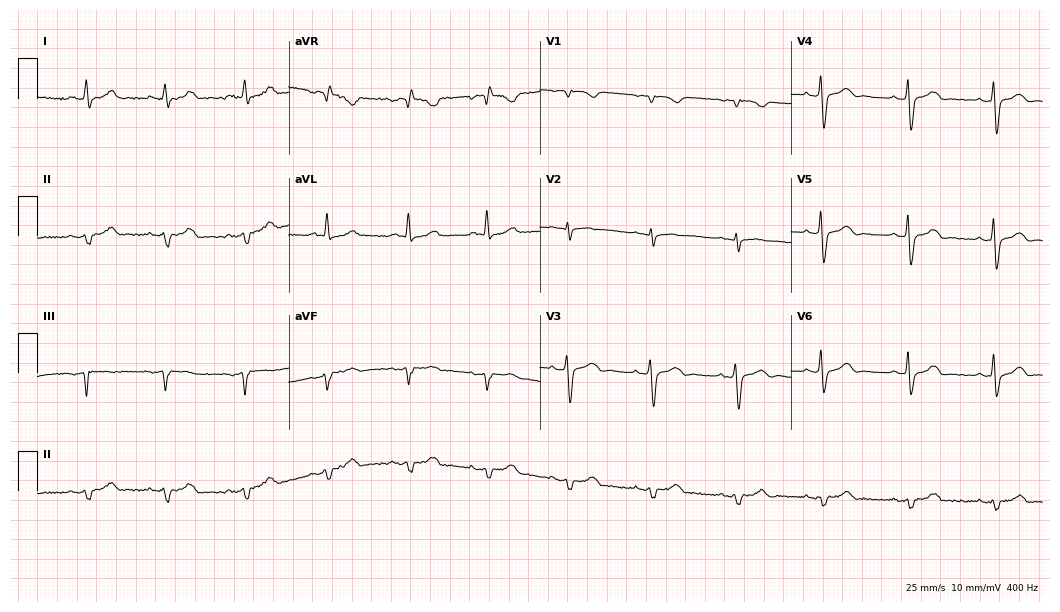
Electrocardiogram (10.2-second recording at 400 Hz), a male, 65 years old. Of the six screened findings (first-degree AV block, right bundle branch block, left bundle branch block, sinus bradycardia, atrial fibrillation, sinus tachycardia), none is recorded. Findings outside these six are not listed.